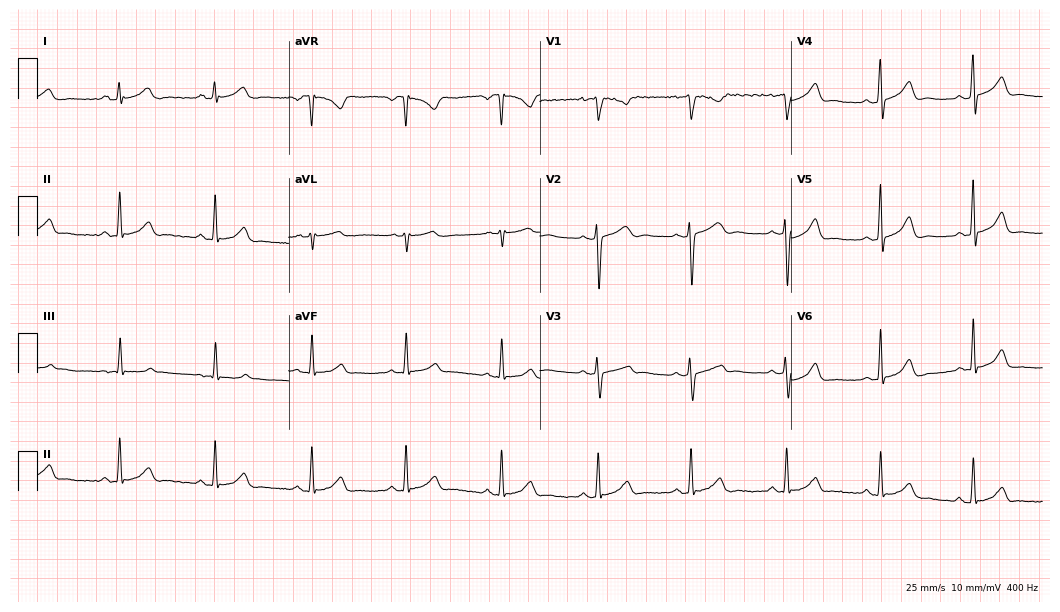
ECG (10.2-second recording at 400 Hz) — a female patient, 26 years old. Labelled as a normal ECG.